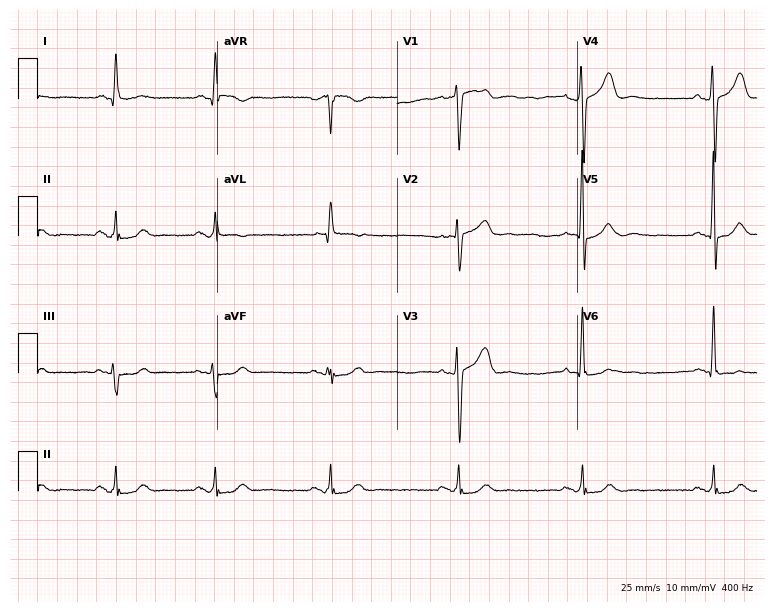
Standard 12-lead ECG recorded from a man, 76 years old (7.3-second recording at 400 Hz). None of these six findings is recorded: first-degree AV block, right bundle branch block, left bundle branch block, sinus bradycardia, atrial fibrillation, sinus tachycardia.